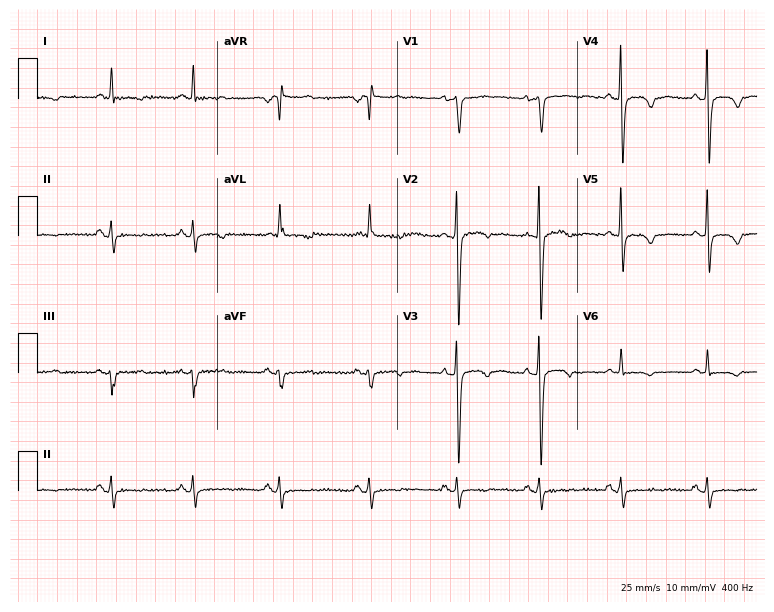
Standard 12-lead ECG recorded from a 49-year-old female. None of these six findings is recorded: first-degree AV block, right bundle branch block (RBBB), left bundle branch block (LBBB), sinus bradycardia, atrial fibrillation (AF), sinus tachycardia. Other findings, if any, are not listed.